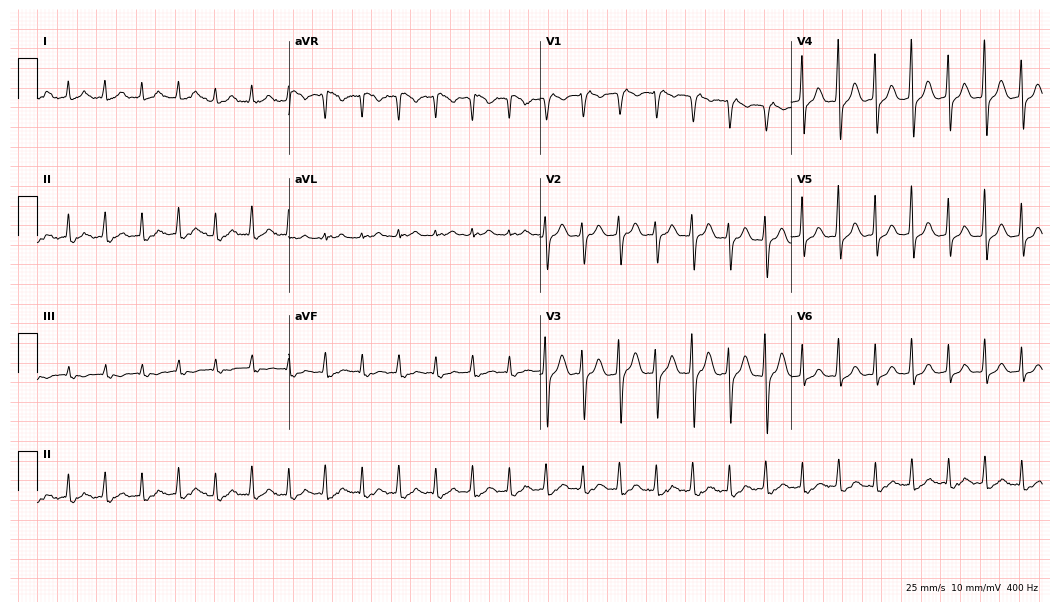
Electrocardiogram, a woman, 25 years old. Of the six screened findings (first-degree AV block, right bundle branch block (RBBB), left bundle branch block (LBBB), sinus bradycardia, atrial fibrillation (AF), sinus tachycardia), none is recorded. Findings outside these six are not listed.